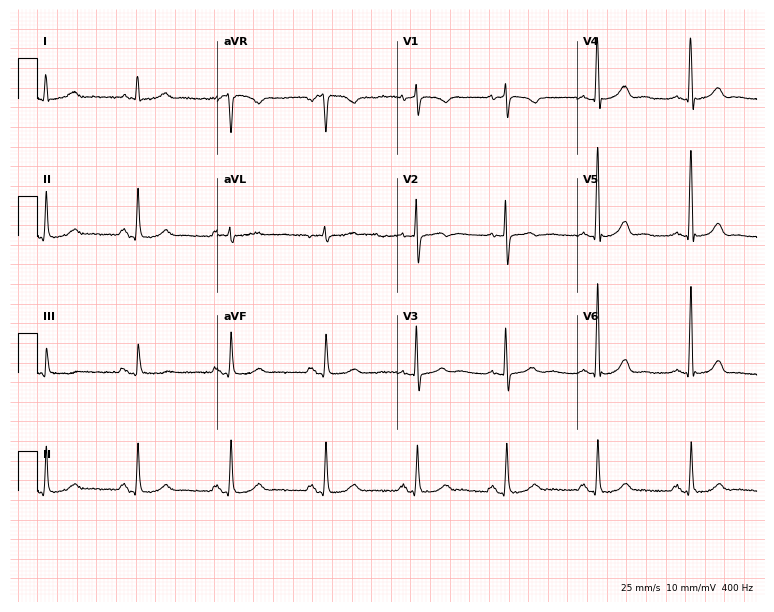
Standard 12-lead ECG recorded from a 77-year-old woman. Read as a normal ECG.